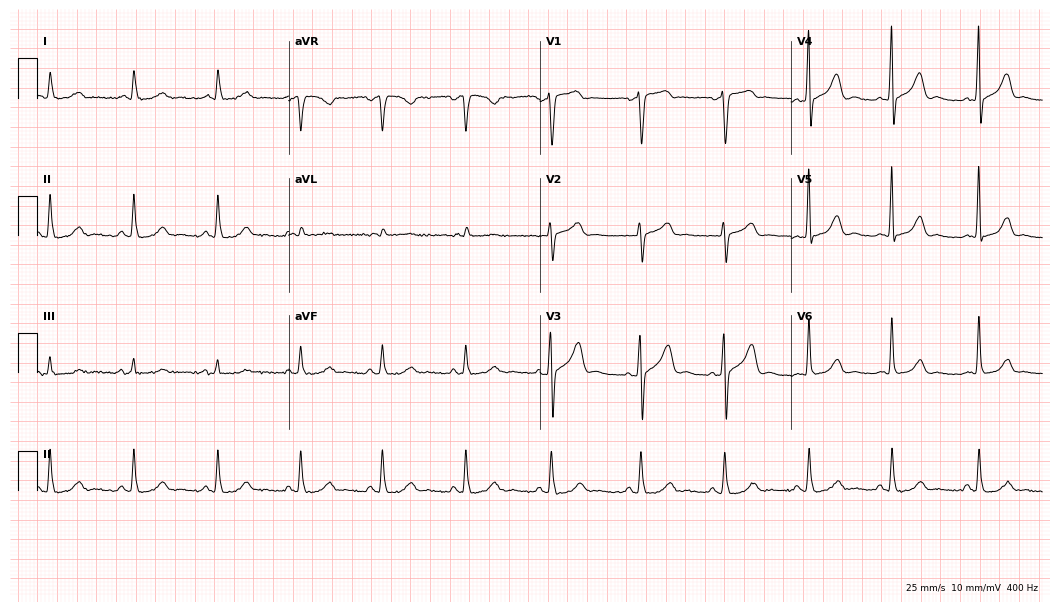
12-lead ECG from a man, 57 years old. Recorded interpretation: within normal limits.